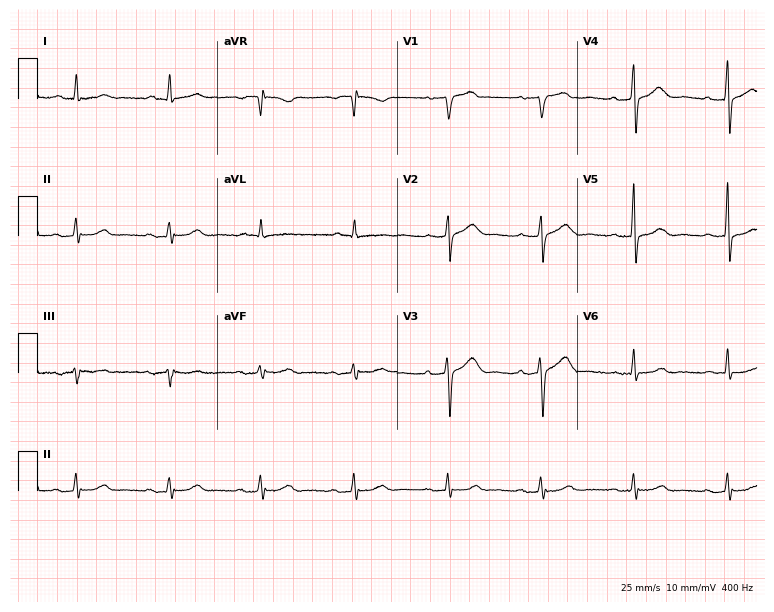
Resting 12-lead electrocardiogram. Patient: a 77-year-old man. The tracing shows first-degree AV block.